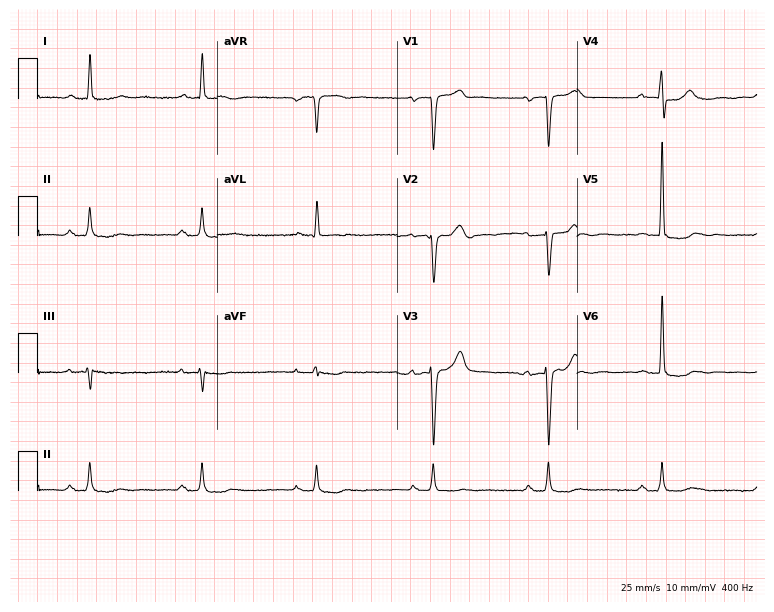
12-lead ECG from a man, 75 years old (7.3-second recording at 400 Hz). No first-degree AV block, right bundle branch block (RBBB), left bundle branch block (LBBB), sinus bradycardia, atrial fibrillation (AF) or sinus tachycardia recorded for this tracing. Findings outside these six are not listed.